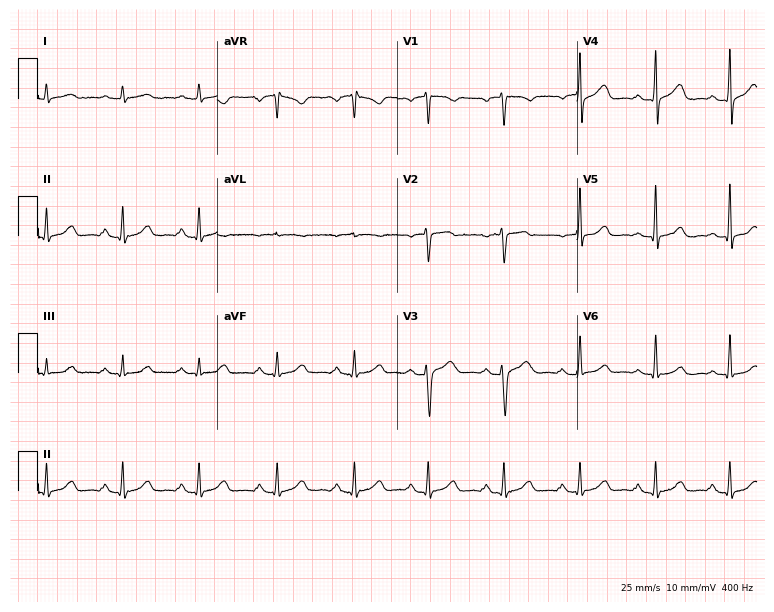
12-lead ECG from a 55-year-old female patient (7.3-second recording at 400 Hz). Recorded interpretation: within normal limits.